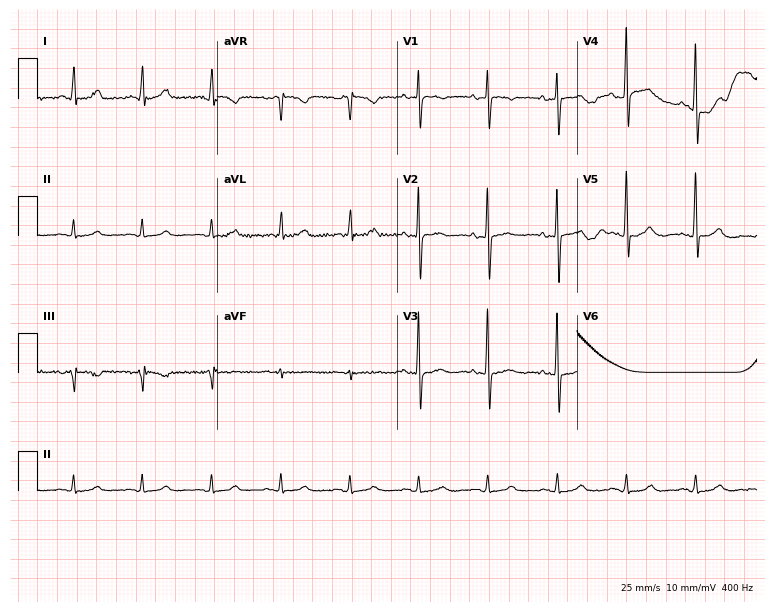
Electrocardiogram, an 85-year-old female. Overall reading on record: normal ECG.